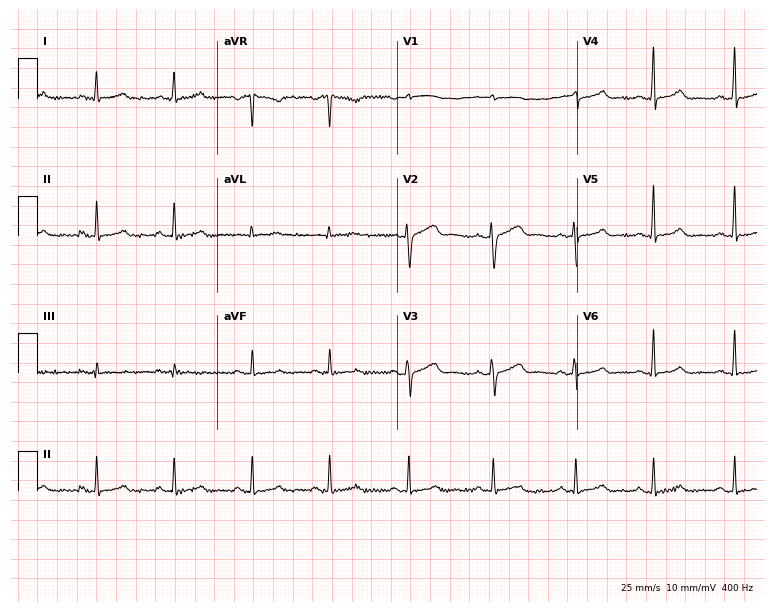
Electrocardiogram (7.3-second recording at 400 Hz), a 36-year-old woman. Of the six screened findings (first-degree AV block, right bundle branch block (RBBB), left bundle branch block (LBBB), sinus bradycardia, atrial fibrillation (AF), sinus tachycardia), none is recorded. Findings outside these six are not listed.